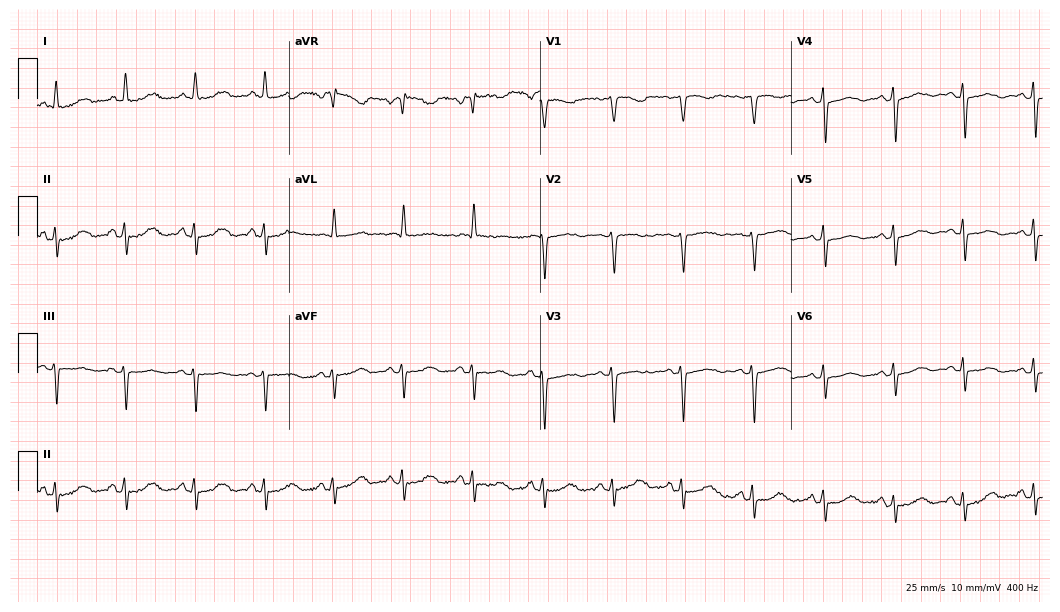
12-lead ECG (10.2-second recording at 400 Hz) from a woman, 64 years old. Screened for six findings — first-degree AV block, right bundle branch block, left bundle branch block, sinus bradycardia, atrial fibrillation, sinus tachycardia — none is recorded. Only these six findings were labelled.